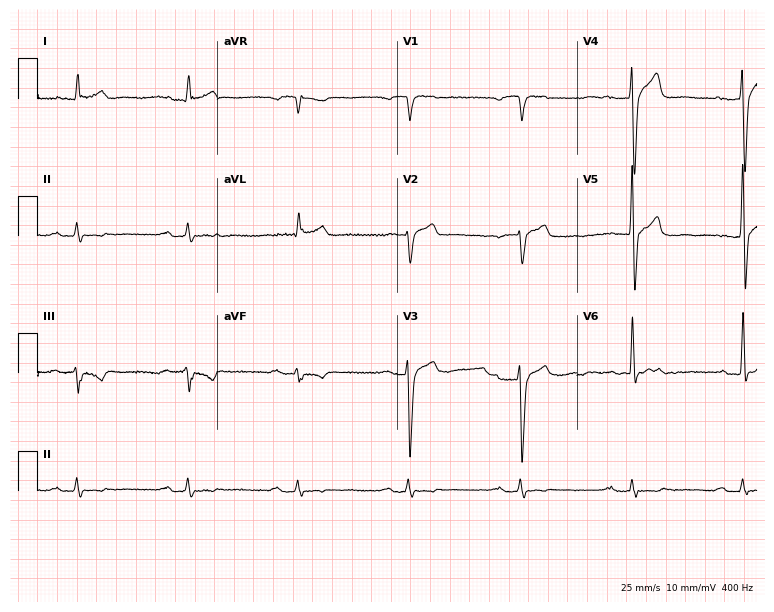
12-lead ECG (7.3-second recording at 400 Hz) from a male patient, 85 years old. Screened for six findings — first-degree AV block, right bundle branch block, left bundle branch block, sinus bradycardia, atrial fibrillation, sinus tachycardia — none is recorded. Other findings, if any, are not listed.